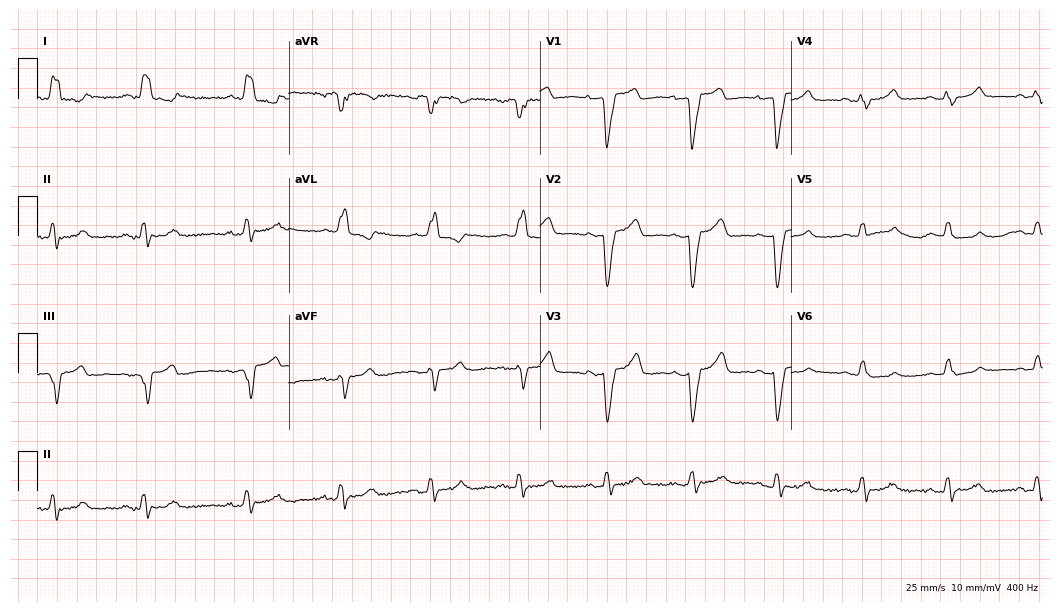
12-lead ECG (10.2-second recording at 400 Hz) from a female, 70 years old. Findings include left bundle branch block.